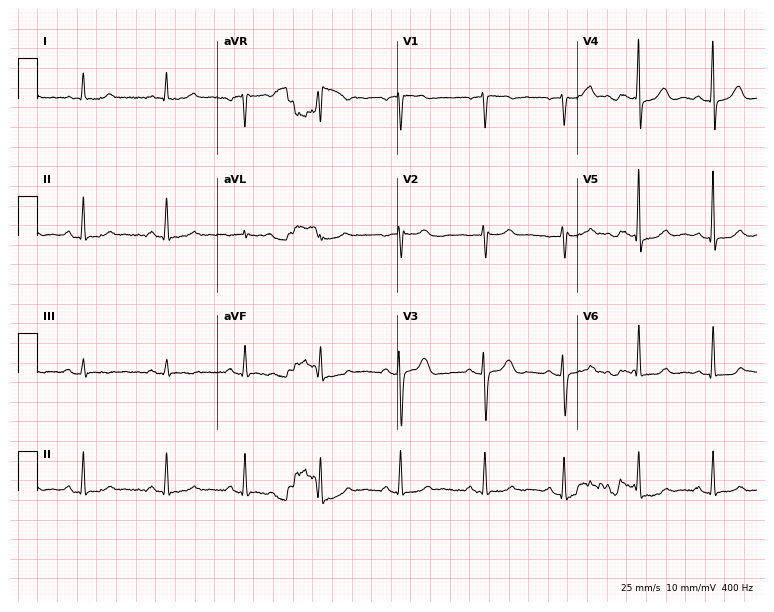
12-lead ECG from a 53-year-old woman (7.3-second recording at 400 Hz). Recorded interpretation: within normal limits.